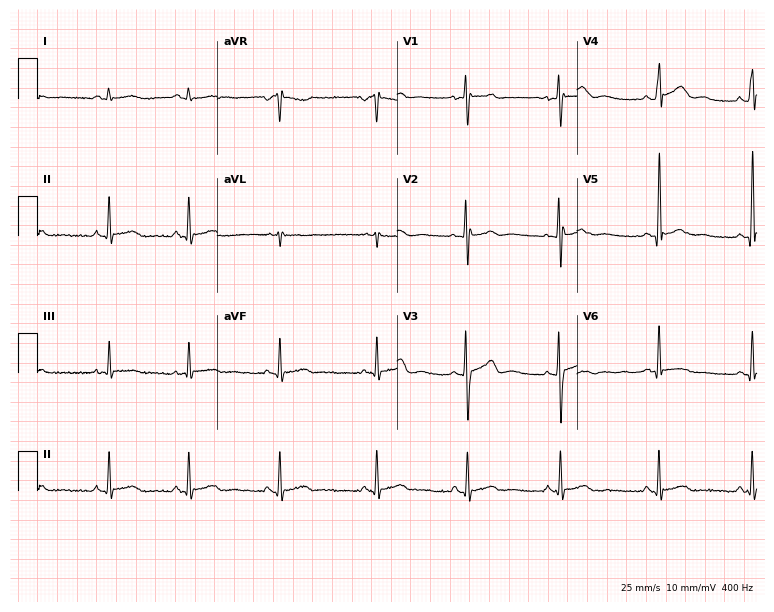
Electrocardiogram, a 19-year-old man. Overall reading on record: normal ECG.